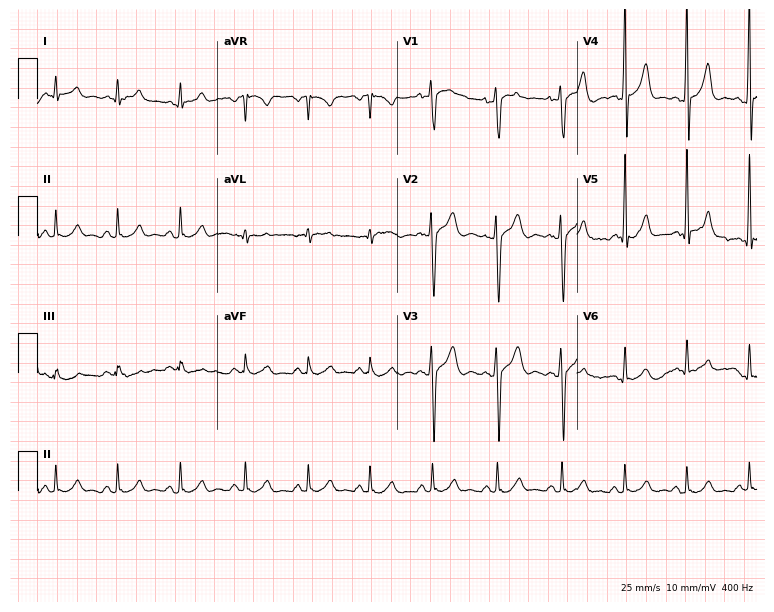
Electrocardiogram (7.3-second recording at 400 Hz), a 43-year-old male patient. Overall reading on record: normal ECG.